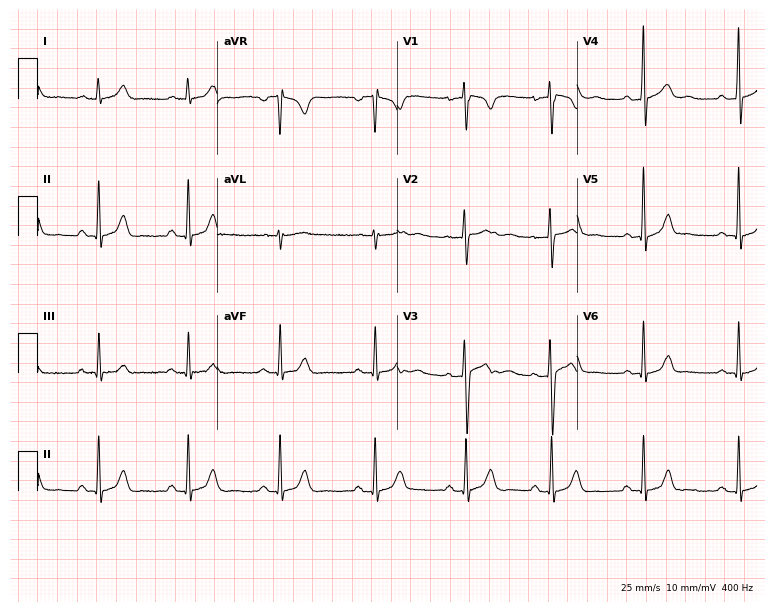
Standard 12-lead ECG recorded from a 26-year-old male patient (7.3-second recording at 400 Hz). Read as a normal ECG.